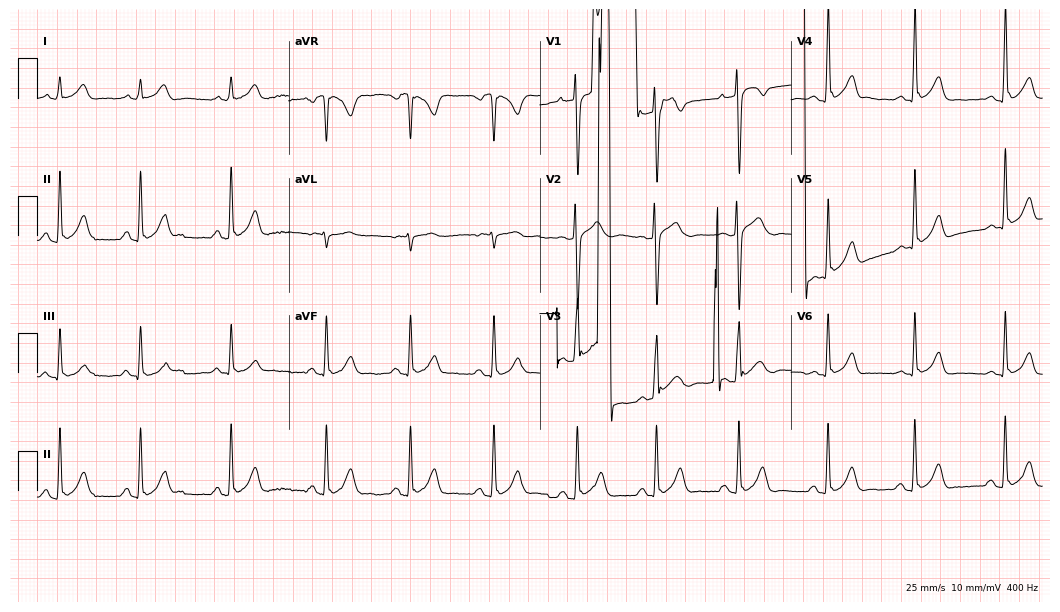
ECG (10.2-second recording at 400 Hz) — a 19-year-old man. Screened for six findings — first-degree AV block, right bundle branch block (RBBB), left bundle branch block (LBBB), sinus bradycardia, atrial fibrillation (AF), sinus tachycardia — none is recorded.